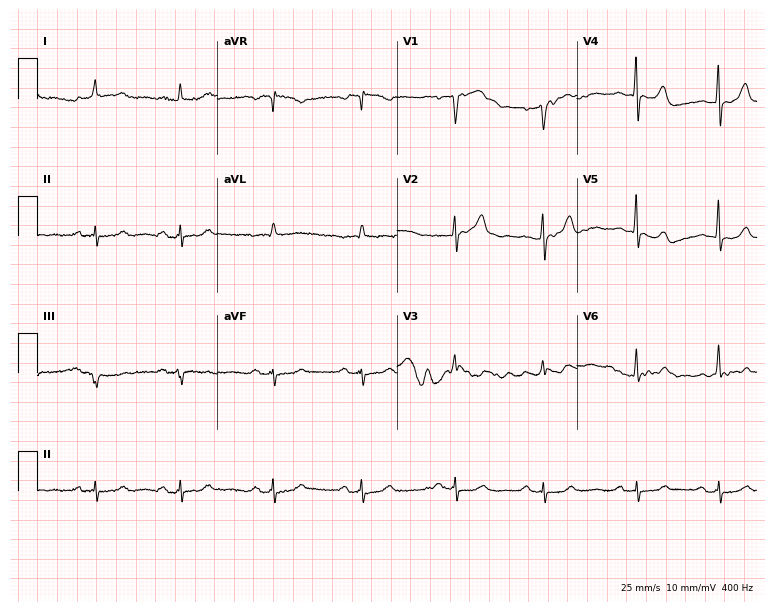
12-lead ECG from a 69-year-old male. No first-degree AV block, right bundle branch block, left bundle branch block, sinus bradycardia, atrial fibrillation or sinus tachycardia recorded for this tracing. Findings outside these six are not listed.